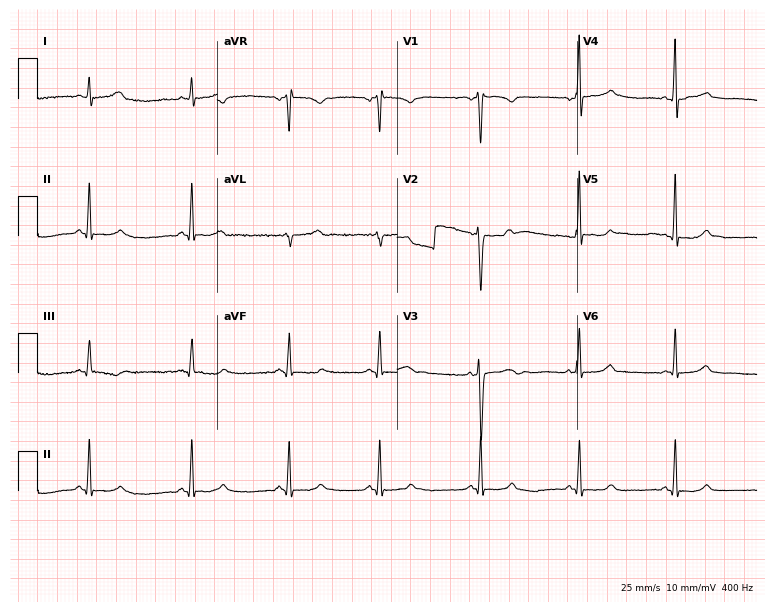
12-lead ECG from a 17-year-old male patient. Recorded interpretation: within normal limits.